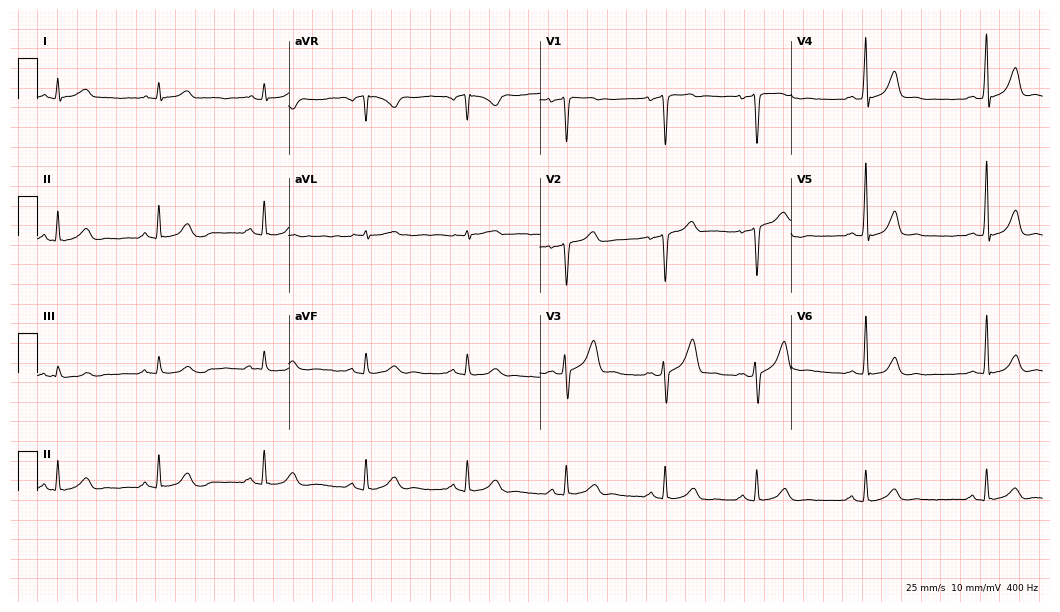
Standard 12-lead ECG recorded from a 34-year-old male patient. Read as a normal ECG.